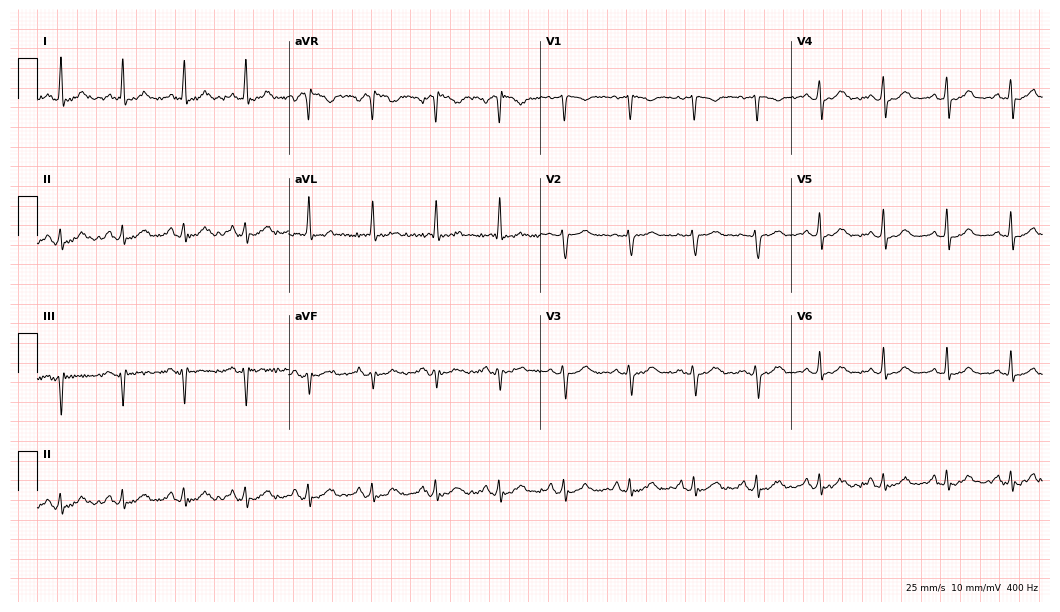
12-lead ECG (10.2-second recording at 400 Hz) from a woman, 49 years old. Labelled as a normal ECG.